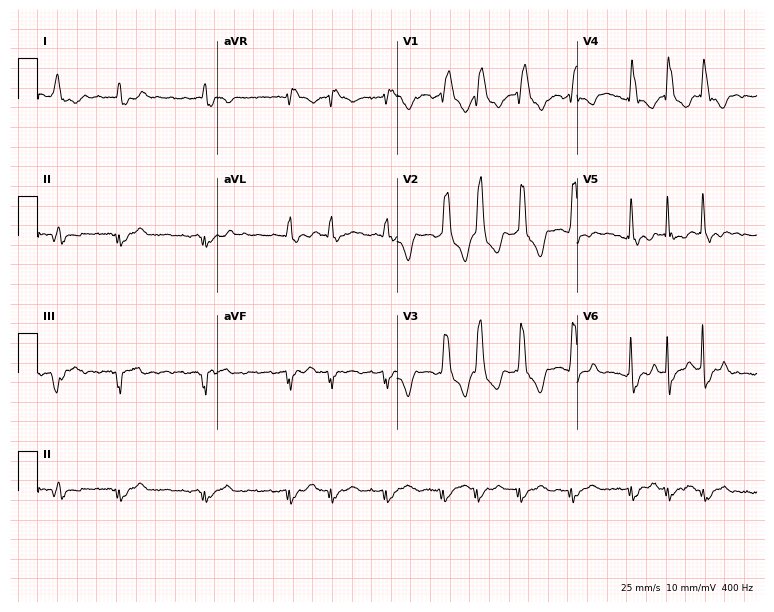
12-lead ECG from a 59-year-old male patient. Findings include right bundle branch block (RBBB), atrial fibrillation (AF).